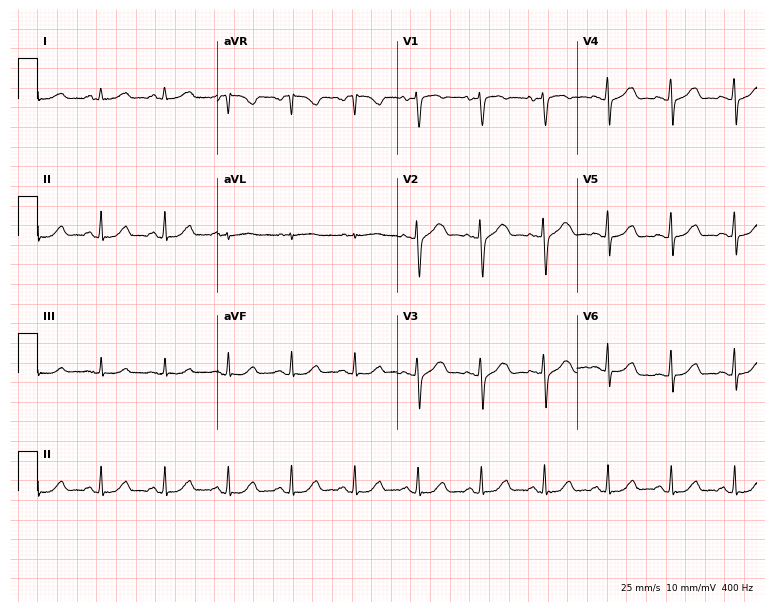
Electrocardiogram, a 57-year-old woman. Overall reading on record: normal ECG.